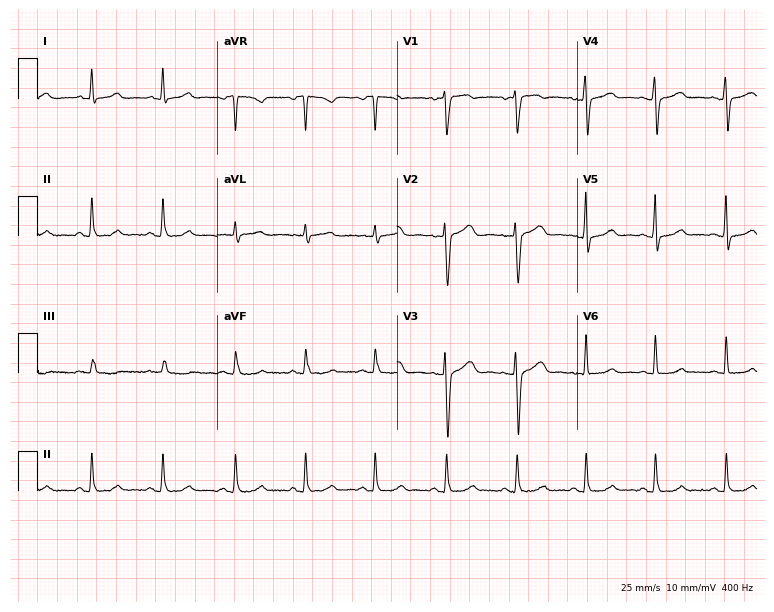
Standard 12-lead ECG recorded from a 38-year-old woman. Read as a normal ECG.